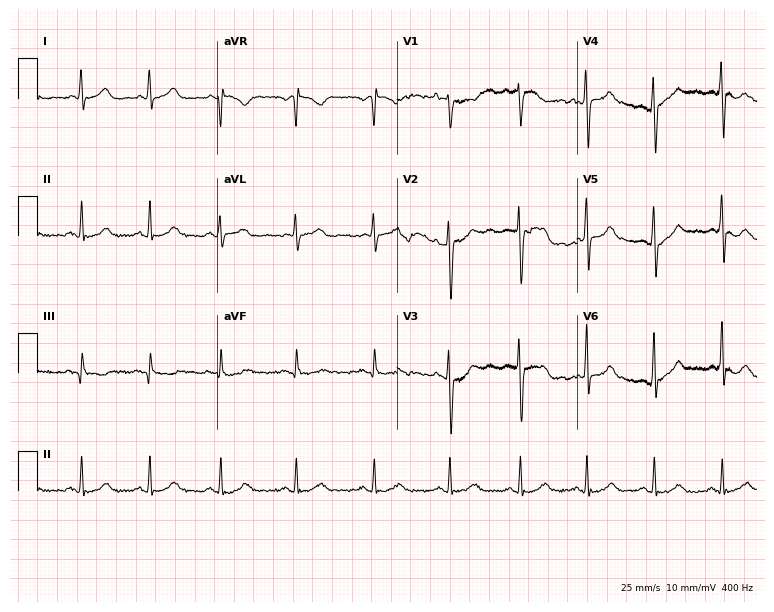
ECG (7.3-second recording at 400 Hz) — a female, 34 years old. Labelled as a normal ECG.